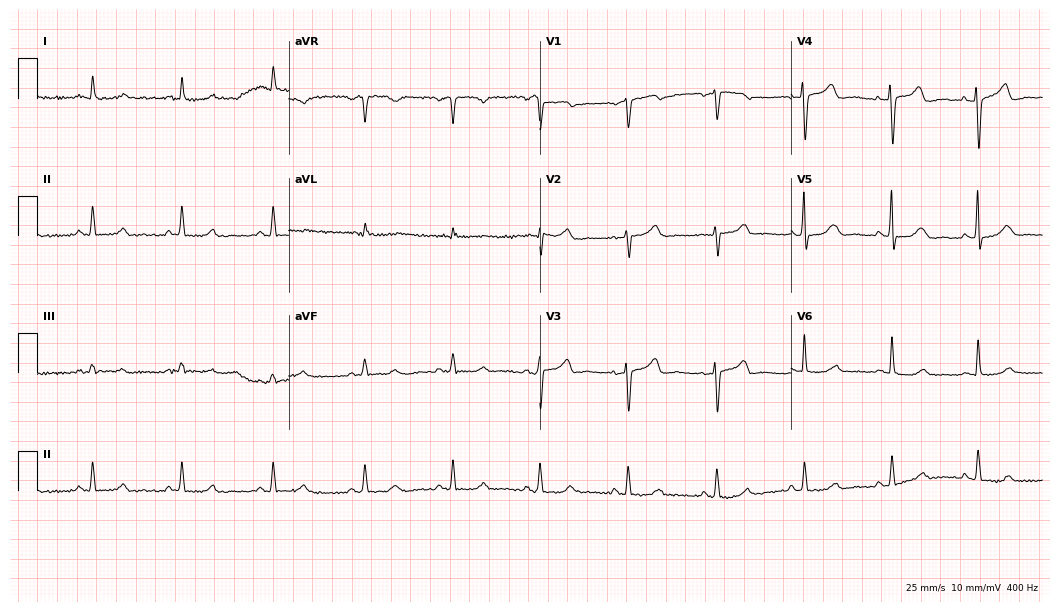
Electrocardiogram, a woman, 60 years old. Overall reading on record: normal ECG.